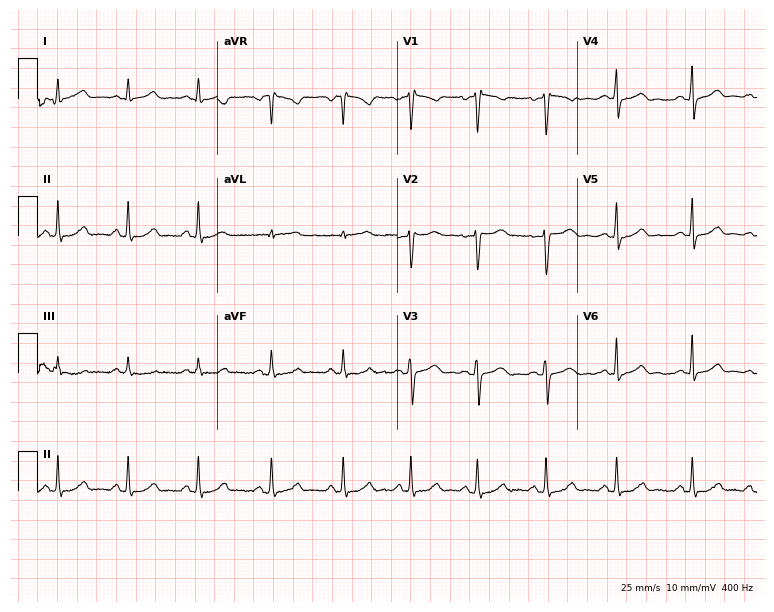
Resting 12-lead electrocardiogram. Patient: a 31-year-old female. Read as a normal ECG.